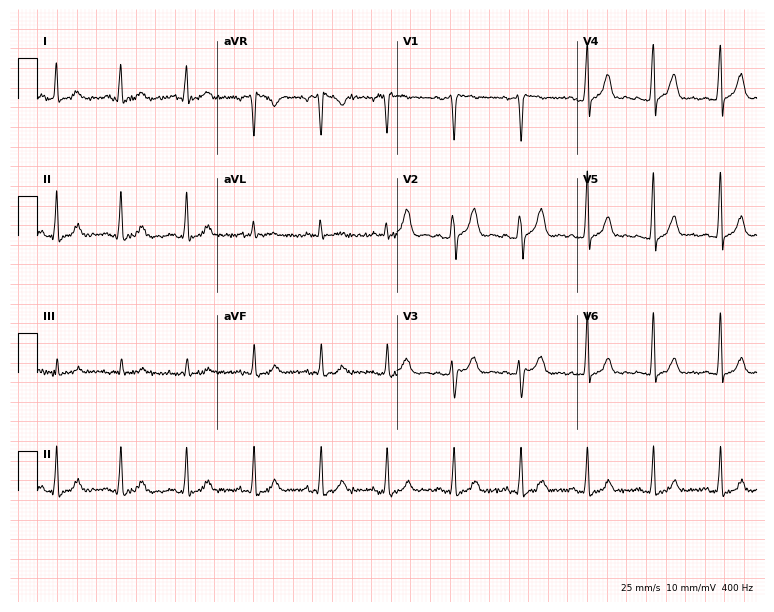
12-lead ECG from a female patient, 34 years old. Screened for six findings — first-degree AV block, right bundle branch block (RBBB), left bundle branch block (LBBB), sinus bradycardia, atrial fibrillation (AF), sinus tachycardia — none is recorded. Only these six findings were labelled.